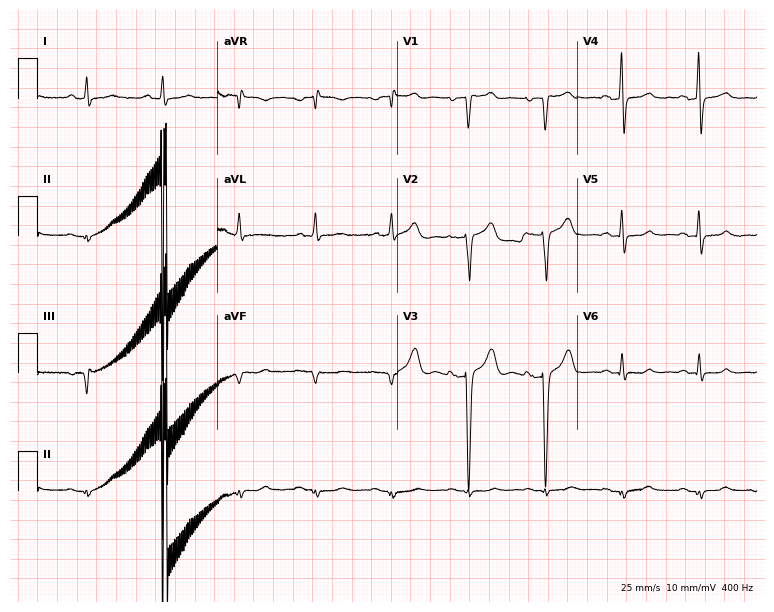
ECG (7.3-second recording at 400 Hz) — a male, 67 years old. Screened for six findings — first-degree AV block, right bundle branch block (RBBB), left bundle branch block (LBBB), sinus bradycardia, atrial fibrillation (AF), sinus tachycardia — none is recorded. Findings outside these six are not listed.